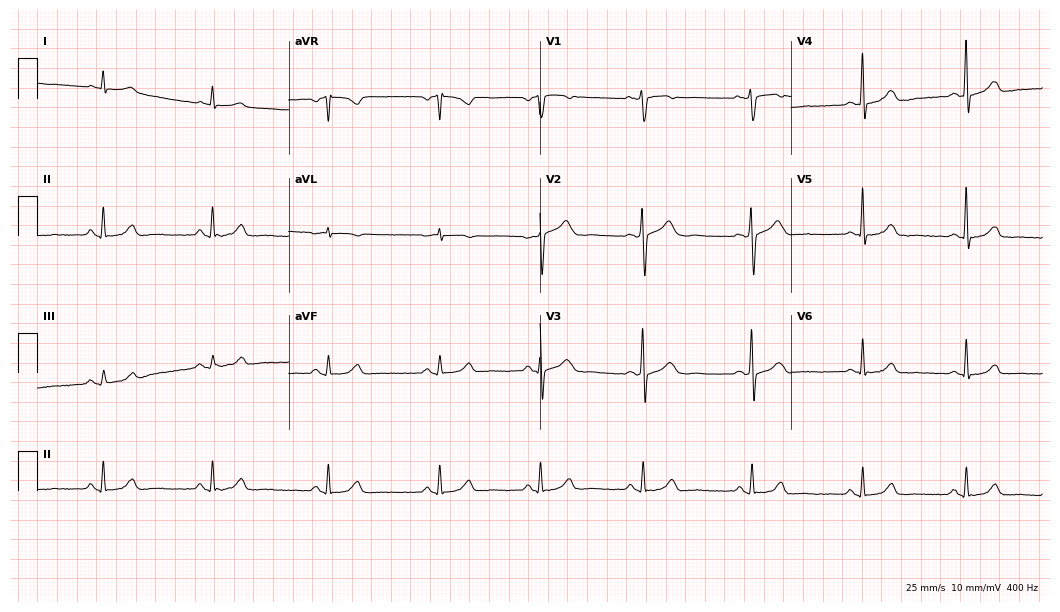
Electrocardiogram, a 51-year-old female patient. Overall reading on record: normal ECG.